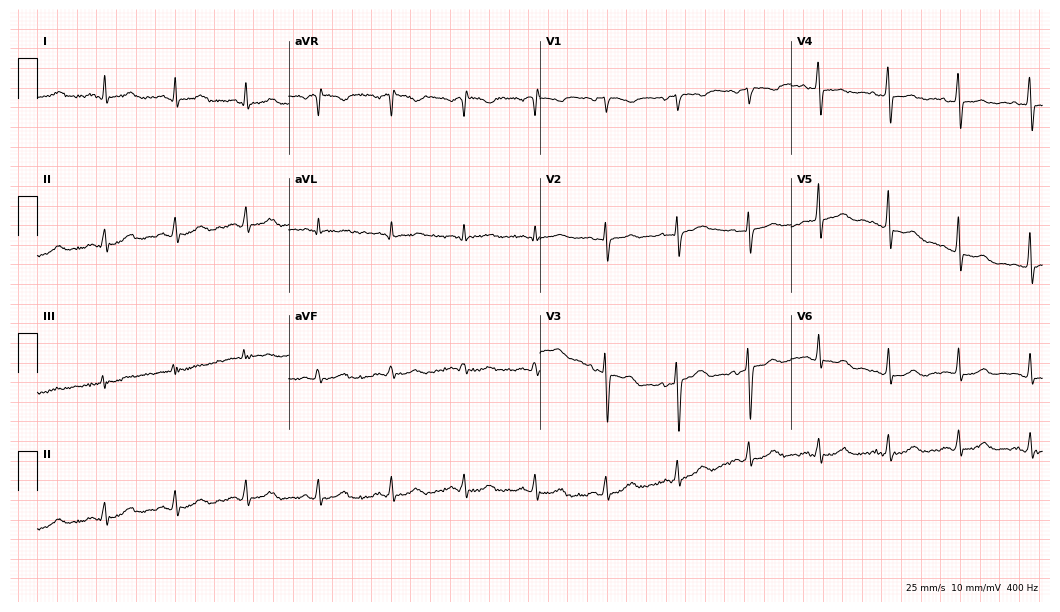
Resting 12-lead electrocardiogram (10.2-second recording at 400 Hz). Patient: a female, 40 years old. None of these six findings is recorded: first-degree AV block, right bundle branch block, left bundle branch block, sinus bradycardia, atrial fibrillation, sinus tachycardia.